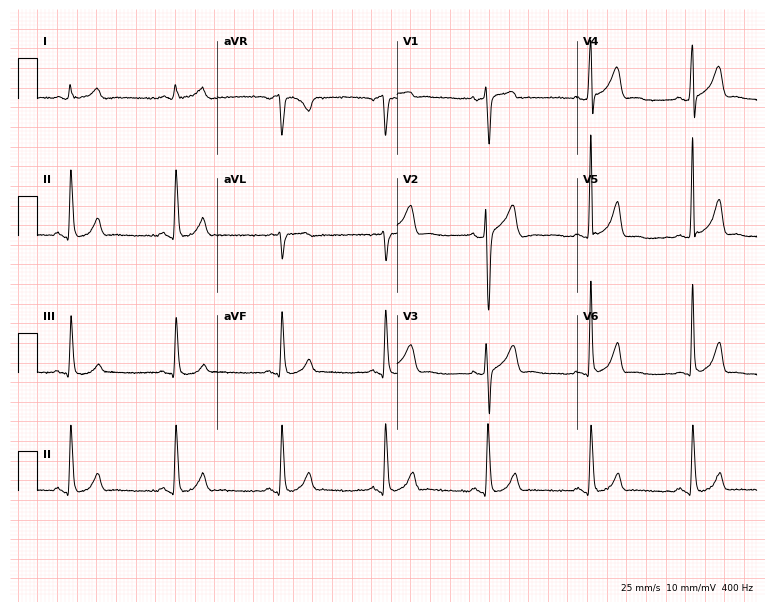
Standard 12-lead ECG recorded from a male, 73 years old. None of these six findings is recorded: first-degree AV block, right bundle branch block, left bundle branch block, sinus bradycardia, atrial fibrillation, sinus tachycardia.